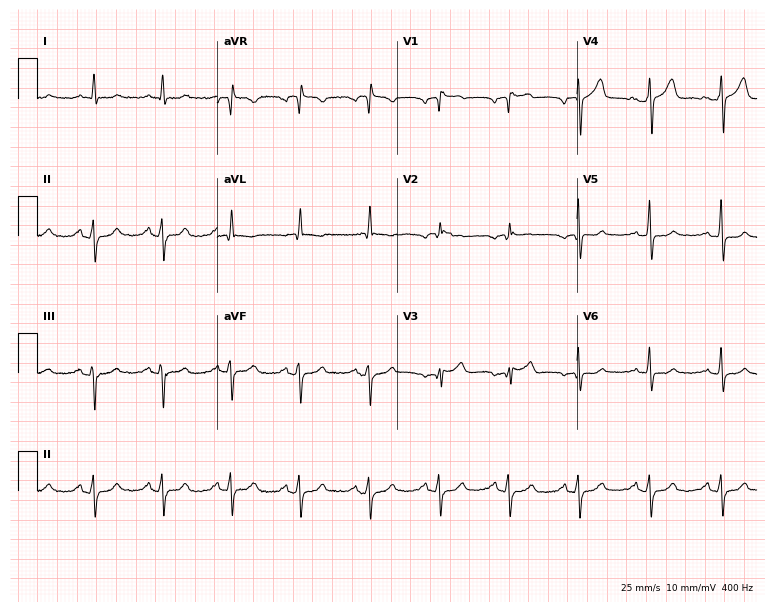
ECG — a 54-year-old man. Screened for six findings — first-degree AV block, right bundle branch block, left bundle branch block, sinus bradycardia, atrial fibrillation, sinus tachycardia — none is recorded.